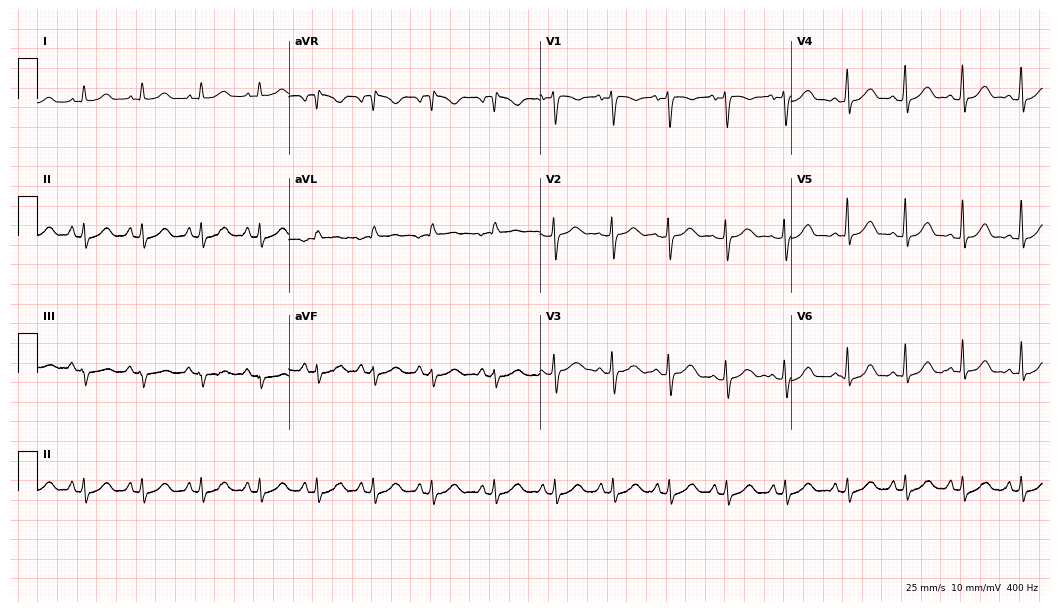
Standard 12-lead ECG recorded from a woman, 25 years old. None of these six findings is recorded: first-degree AV block, right bundle branch block (RBBB), left bundle branch block (LBBB), sinus bradycardia, atrial fibrillation (AF), sinus tachycardia. Findings outside these six are not listed.